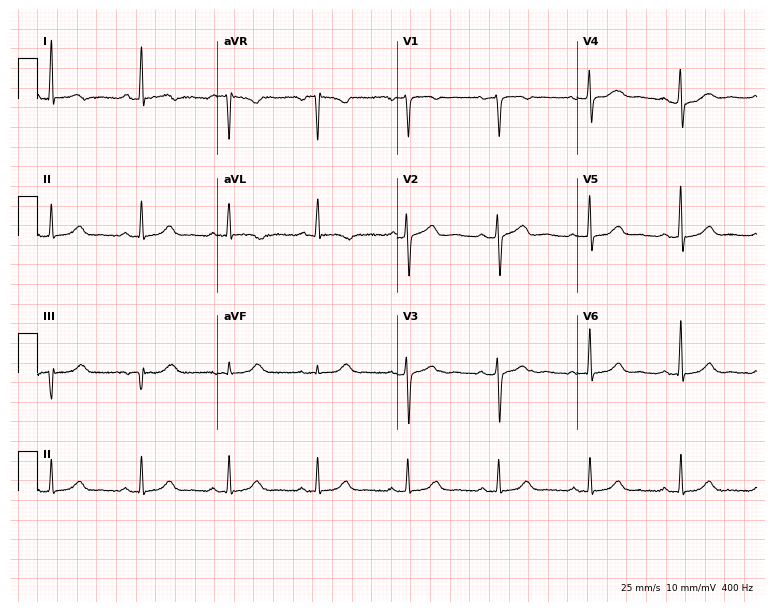
Resting 12-lead electrocardiogram. Patient: a 62-year-old female. None of these six findings is recorded: first-degree AV block, right bundle branch block, left bundle branch block, sinus bradycardia, atrial fibrillation, sinus tachycardia.